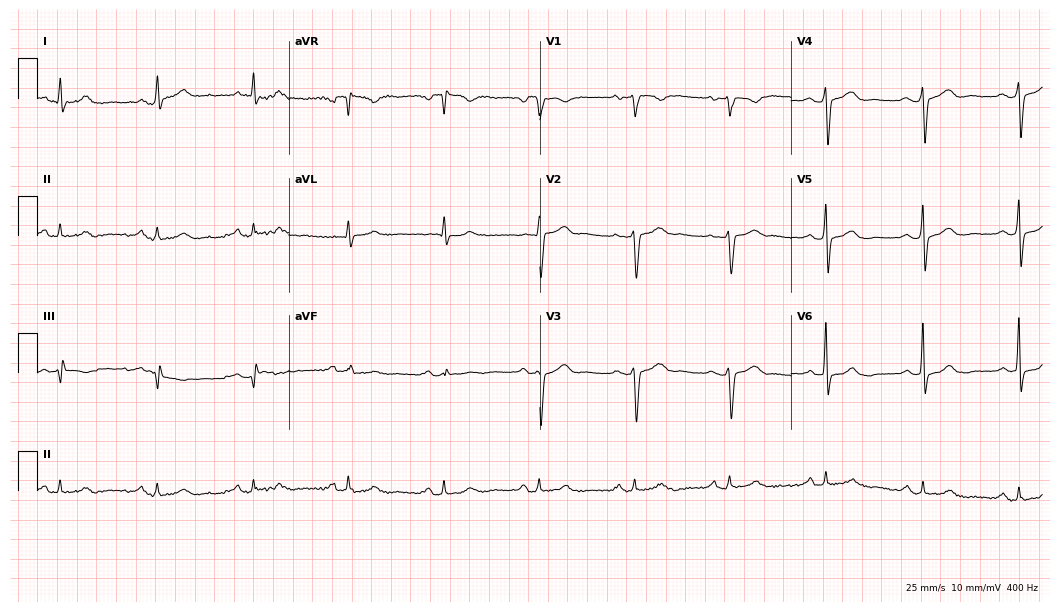
12-lead ECG (10.2-second recording at 400 Hz) from a 43-year-old male patient. Labelled as a normal ECG.